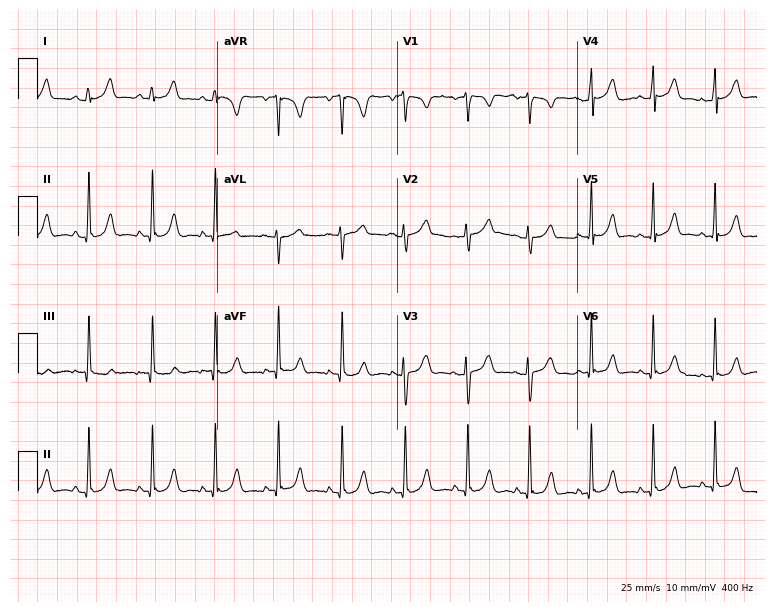
12-lead ECG from a female, 25 years old (7.3-second recording at 400 Hz). Recorded interpretation: within normal limits.